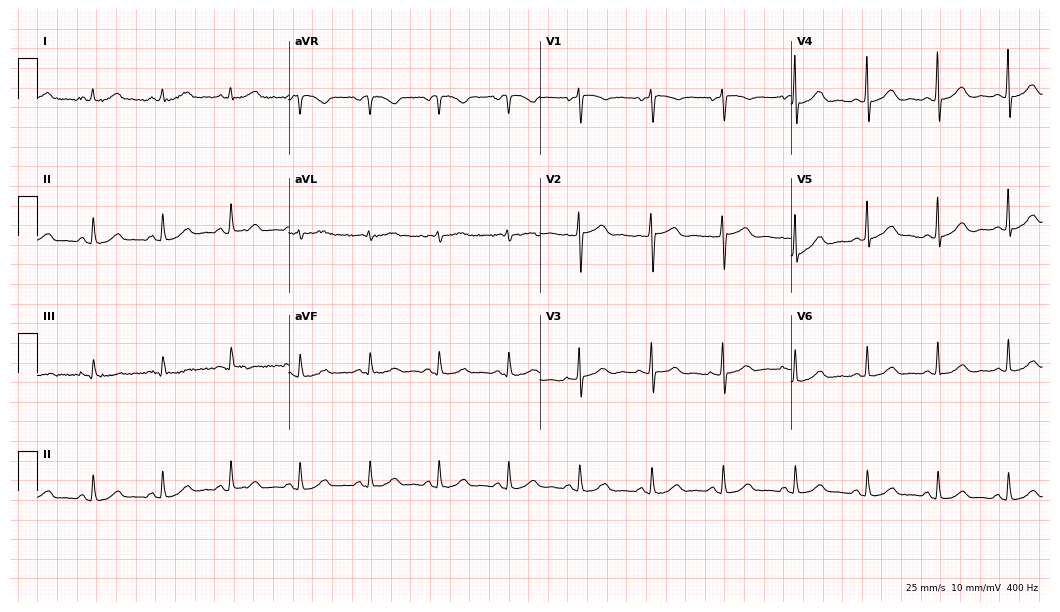
12-lead ECG from a 68-year-old woman (10.2-second recording at 400 Hz). Recorded interpretation: within normal limits.